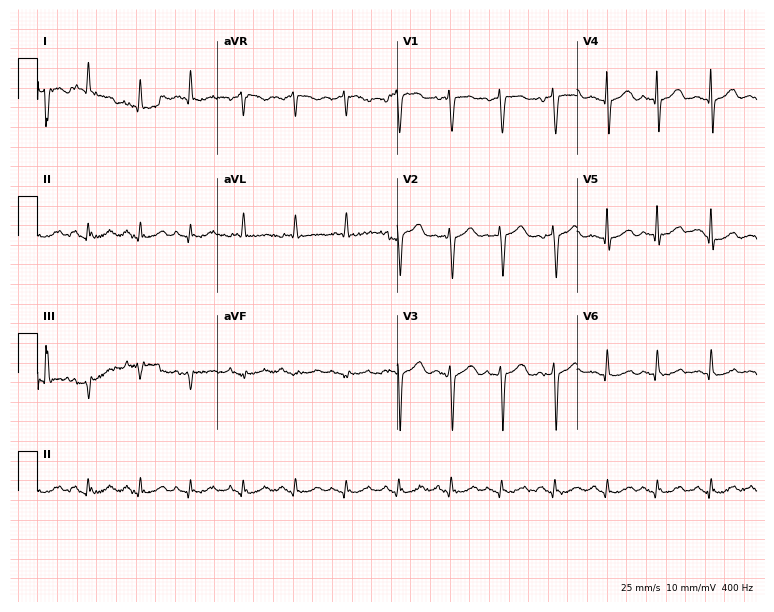
Electrocardiogram, an 85-year-old female patient. Of the six screened findings (first-degree AV block, right bundle branch block (RBBB), left bundle branch block (LBBB), sinus bradycardia, atrial fibrillation (AF), sinus tachycardia), none is recorded. Findings outside these six are not listed.